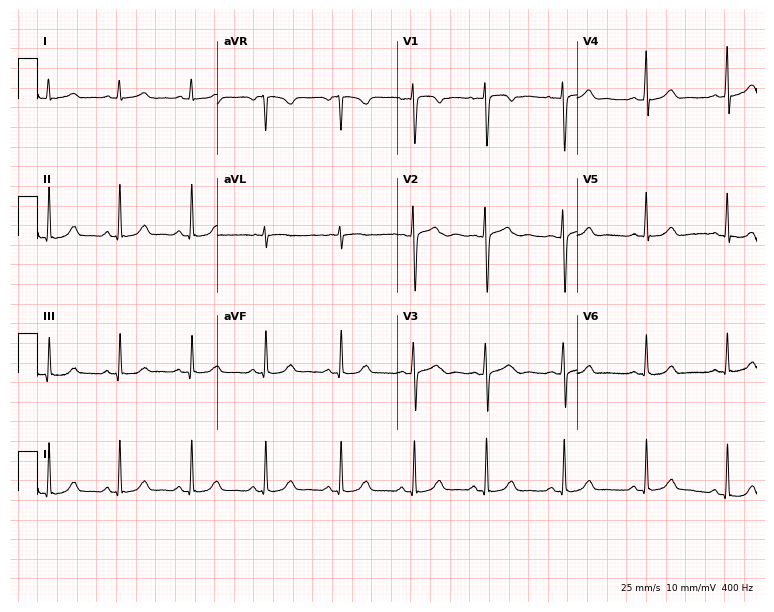
Standard 12-lead ECG recorded from a 21-year-old woman (7.3-second recording at 400 Hz). Read as a normal ECG.